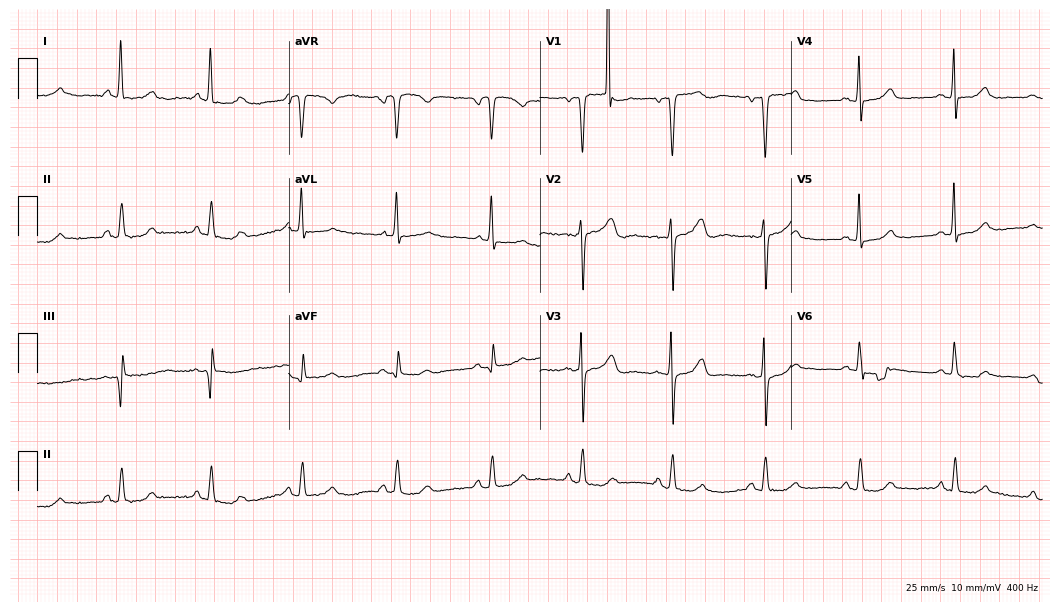
Standard 12-lead ECG recorded from a woman, 77 years old (10.2-second recording at 400 Hz). None of these six findings is recorded: first-degree AV block, right bundle branch block, left bundle branch block, sinus bradycardia, atrial fibrillation, sinus tachycardia. Only these six findings were labelled.